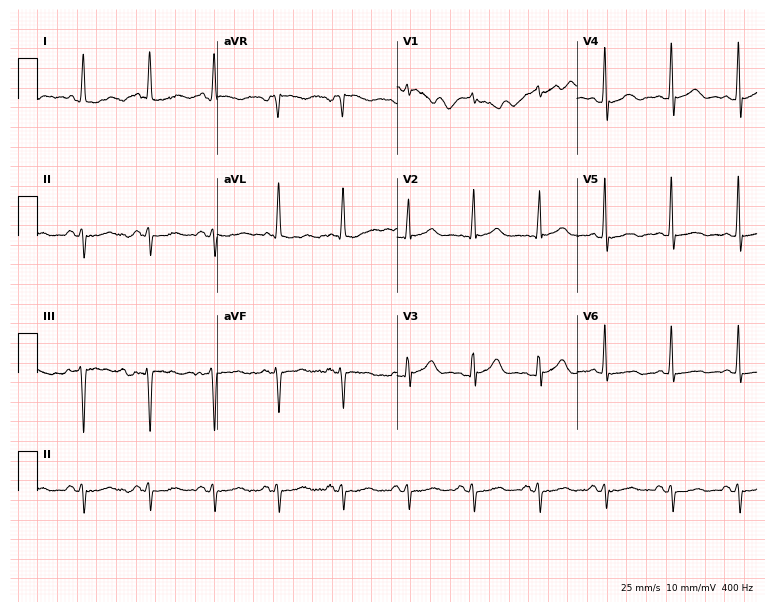
Electrocardiogram (7.3-second recording at 400 Hz), a man, 81 years old. Of the six screened findings (first-degree AV block, right bundle branch block, left bundle branch block, sinus bradycardia, atrial fibrillation, sinus tachycardia), none is recorded. Only these six findings were labelled.